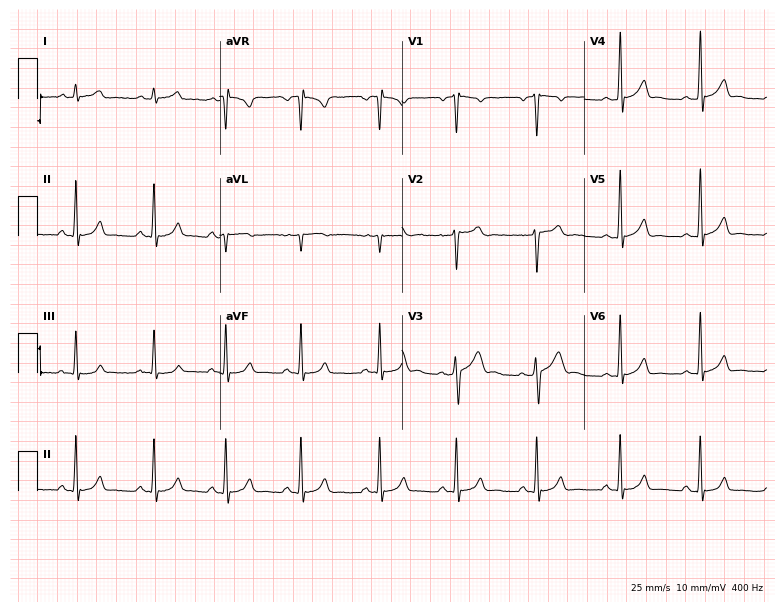
Electrocardiogram (7.4-second recording at 400 Hz), a male patient, 18 years old. Overall reading on record: normal ECG.